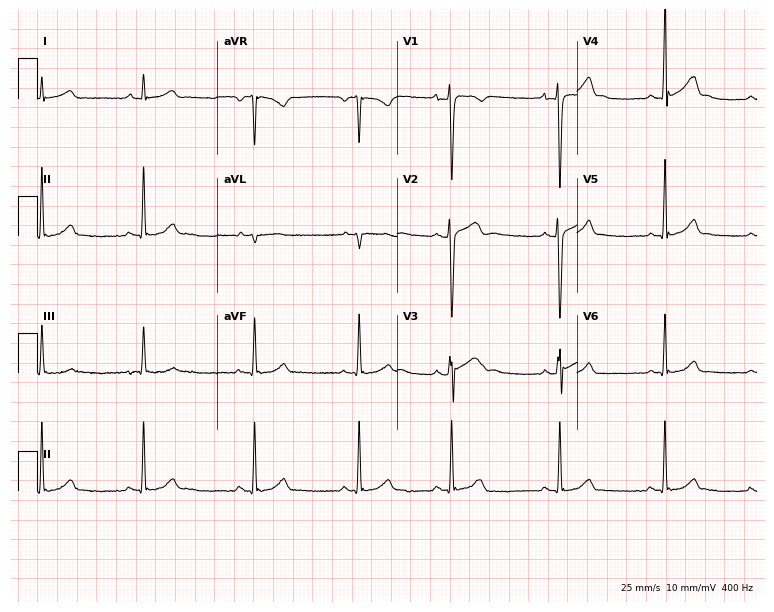
Standard 12-lead ECG recorded from a male patient, 17 years old (7.3-second recording at 400 Hz). None of these six findings is recorded: first-degree AV block, right bundle branch block, left bundle branch block, sinus bradycardia, atrial fibrillation, sinus tachycardia. Only these six findings were labelled.